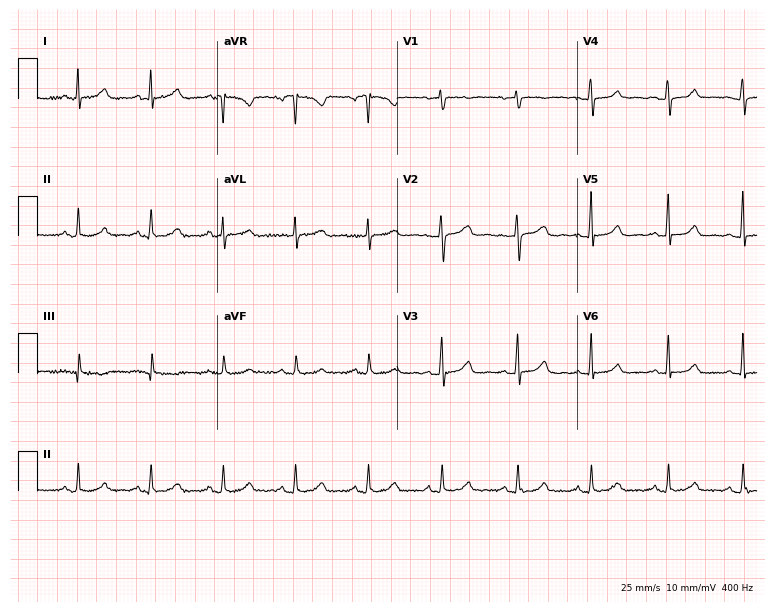
12-lead ECG (7.3-second recording at 400 Hz) from a female patient, 48 years old. Labelled as a normal ECG.